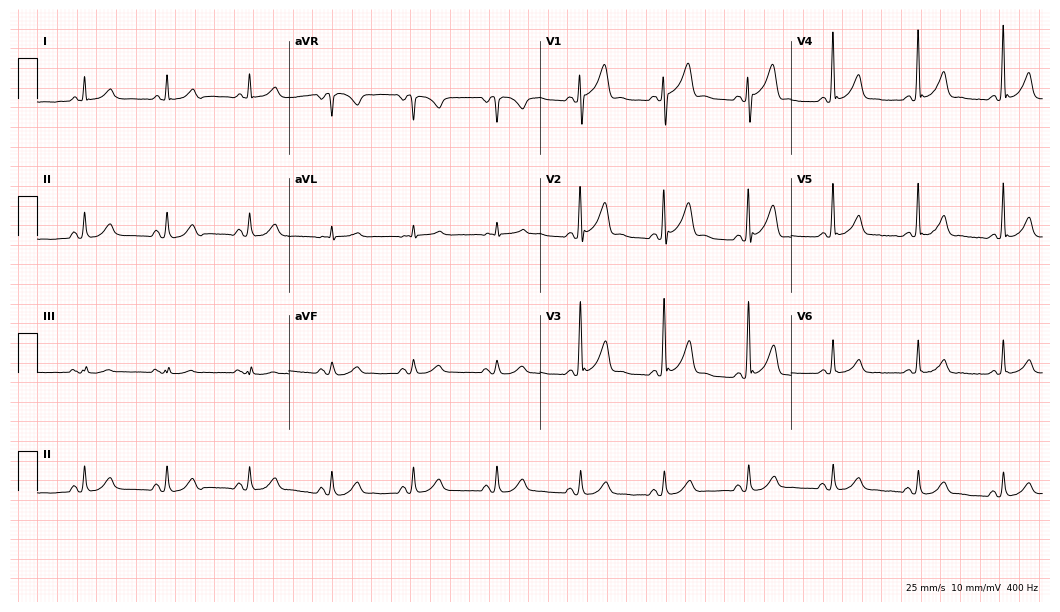
12-lead ECG from a male, 51 years old (10.2-second recording at 400 Hz). Recorded interpretation: within normal limits.